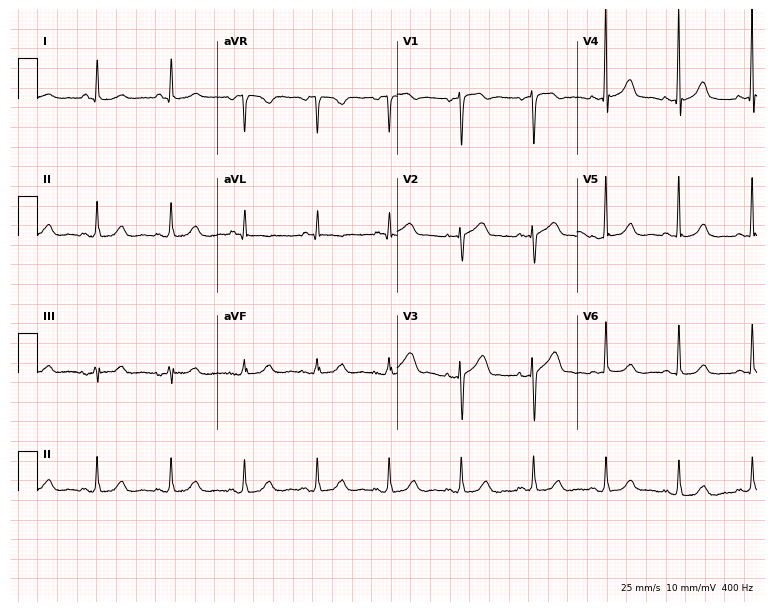
Electrocardiogram (7.3-second recording at 400 Hz), a female, 83 years old. Of the six screened findings (first-degree AV block, right bundle branch block, left bundle branch block, sinus bradycardia, atrial fibrillation, sinus tachycardia), none is recorded. Other findings, if any, are not listed.